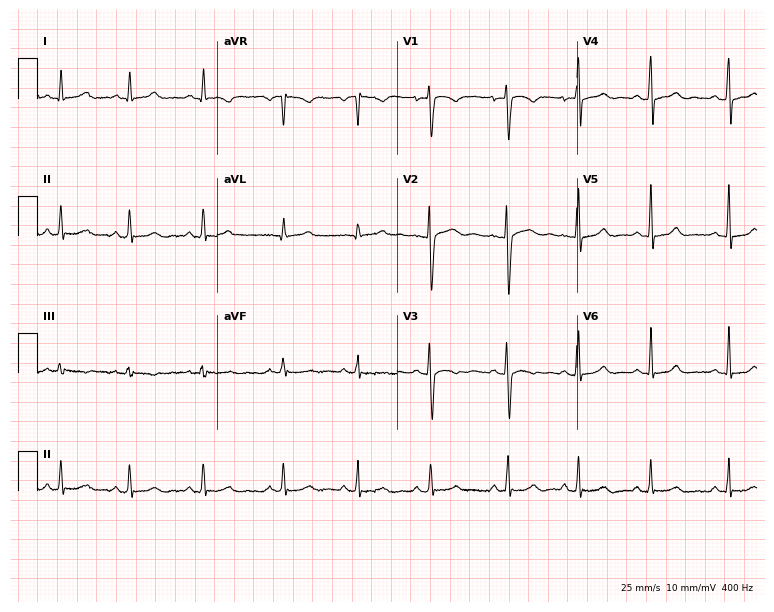
12-lead ECG from a female, 20 years old (7.3-second recording at 400 Hz). No first-degree AV block, right bundle branch block, left bundle branch block, sinus bradycardia, atrial fibrillation or sinus tachycardia recorded for this tracing. Only these six findings were labelled.